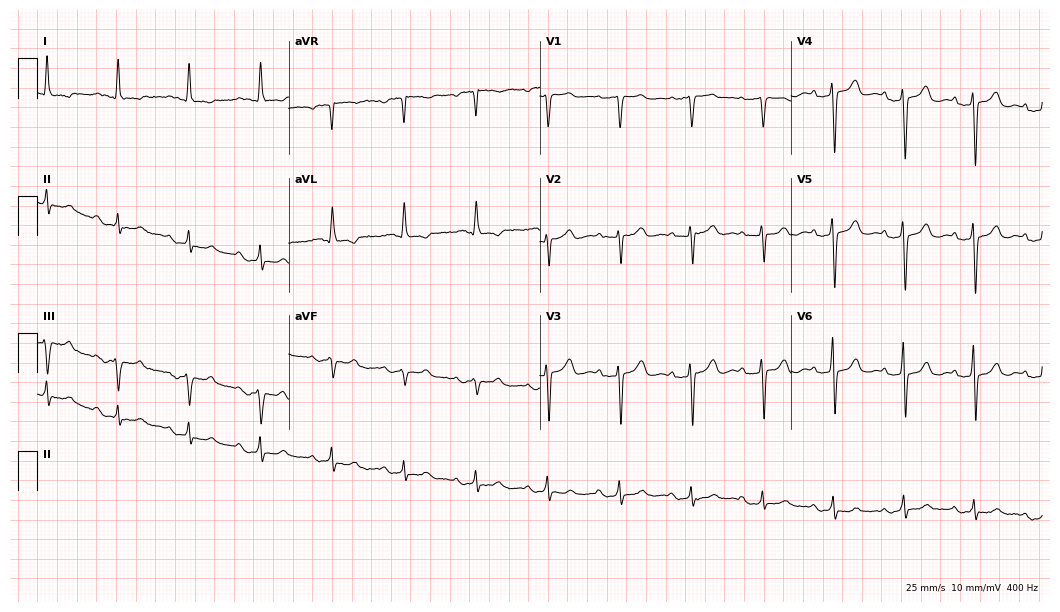
Standard 12-lead ECG recorded from a 75-year-old woman (10.2-second recording at 400 Hz). None of these six findings is recorded: first-degree AV block, right bundle branch block, left bundle branch block, sinus bradycardia, atrial fibrillation, sinus tachycardia.